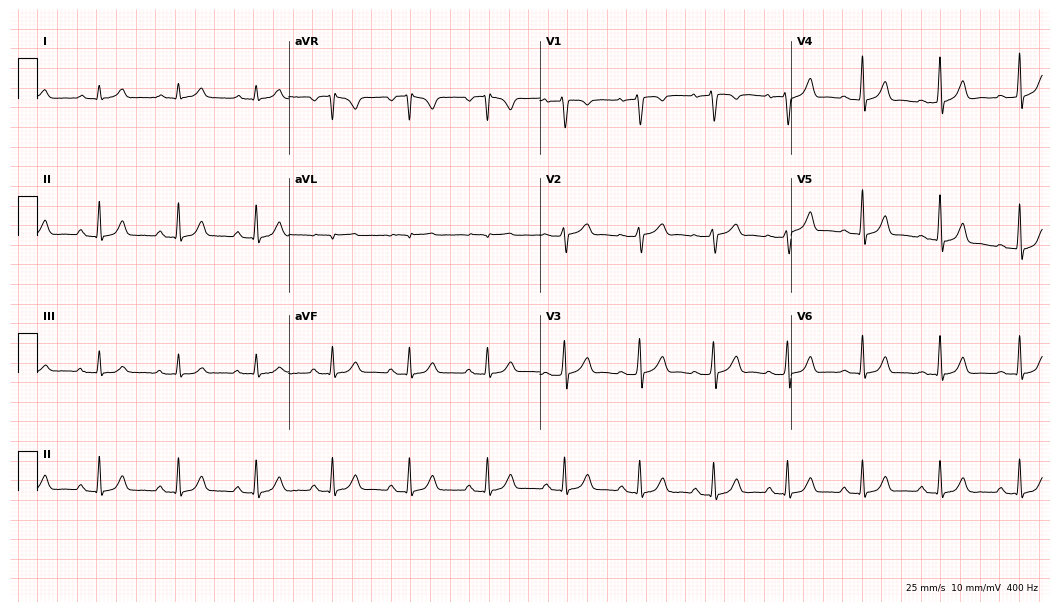
12-lead ECG from a 51-year-old male patient (10.2-second recording at 400 Hz). Recorded interpretation: within normal limits.